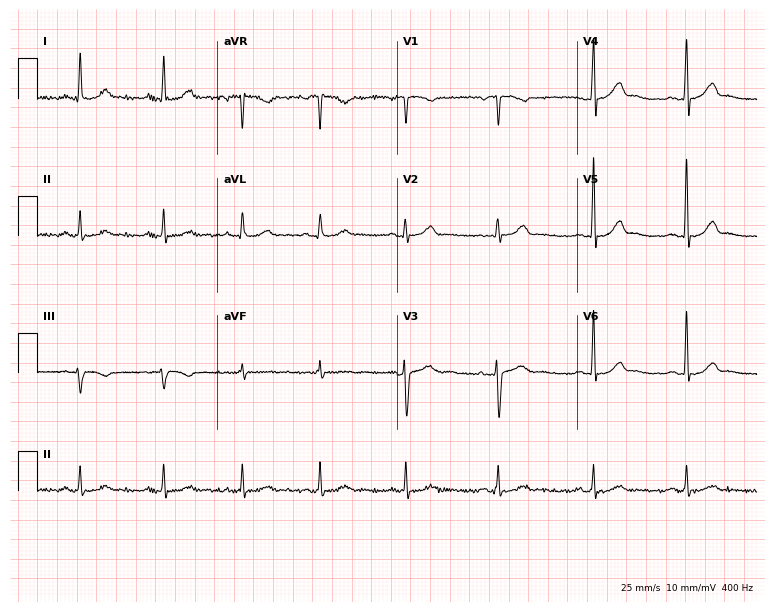
Standard 12-lead ECG recorded from a 39-year-old female patient. Read as a normal ECG.